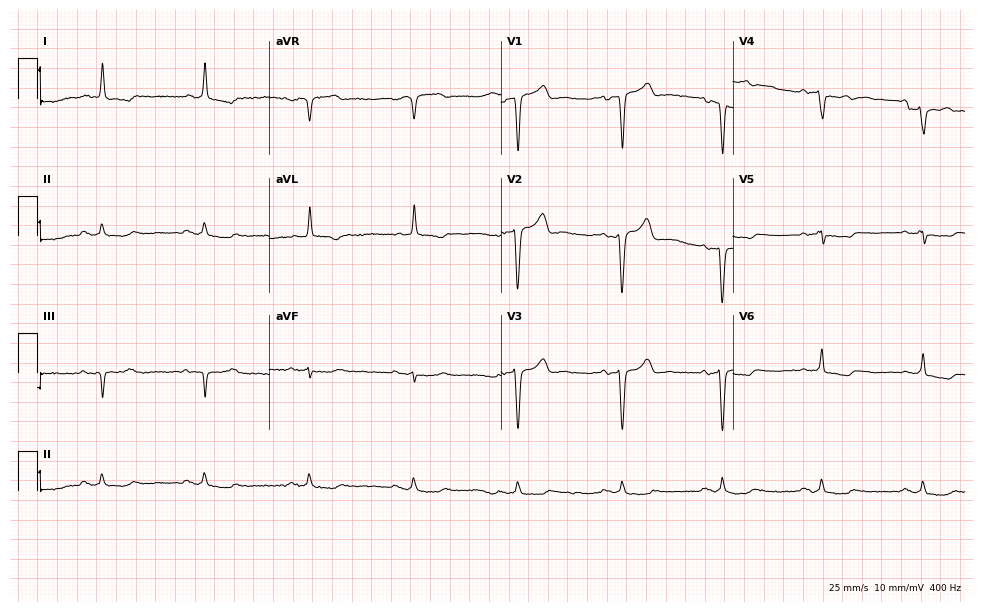
12-lead ECG (9.5-second recording at 400 Hz) from a man, 87 years old. Screened for six findings — first-degree AV block, right bundle branch block, left bundle branch block, sinus bradycardia, atrial fibrillation, sinus tachycardia — none is recorded. Other findings, if any, are not listed.